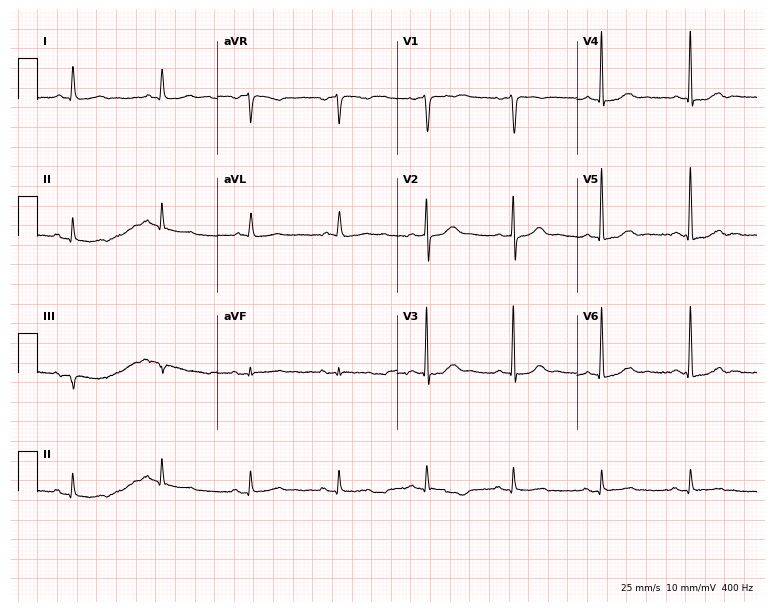
Standard 12-lead ECG recorded from a 71-year-old male (7.3-second recording at 400 Hz). None of these six findings is recorded: first-degree AV block, right bundle branch block, left bundle branch block, sinus bradycardia, atrial fibrillation, sinus tachycardia. Findings outside these six are not listed.